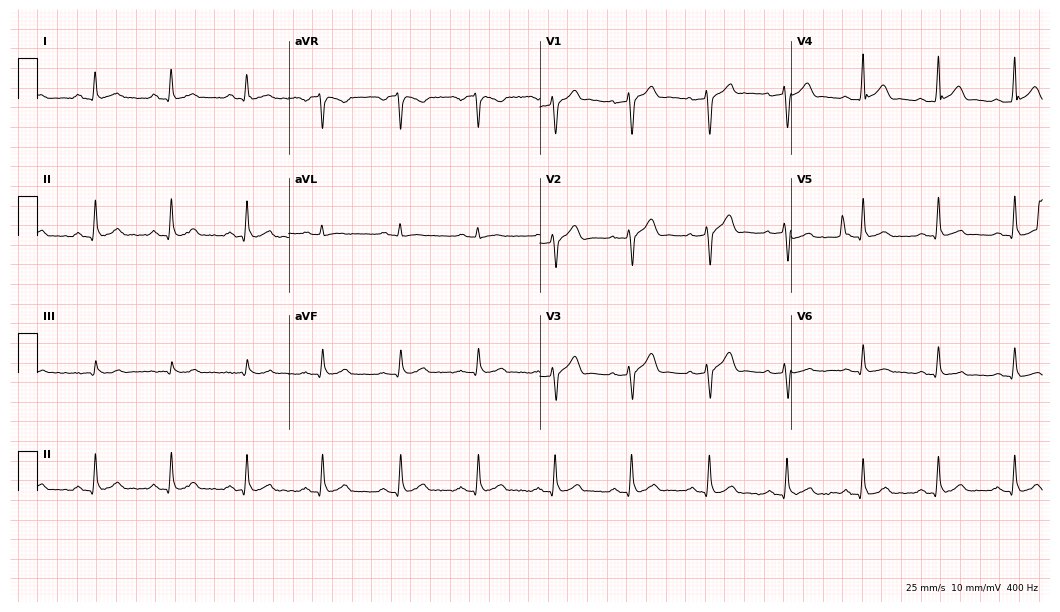
Standard 12-lead ECG recorded from a male patient, 31 years old (10.2-second recording at 400 Hz). None of these six findings is recorded: first-degree AV block, right bundle branch block (RBBB), left bundle branch block (LBBB), sinus bradycardia, atrial fibrillation (AF), sinus tachycardia. Findings outside these six are not listed.